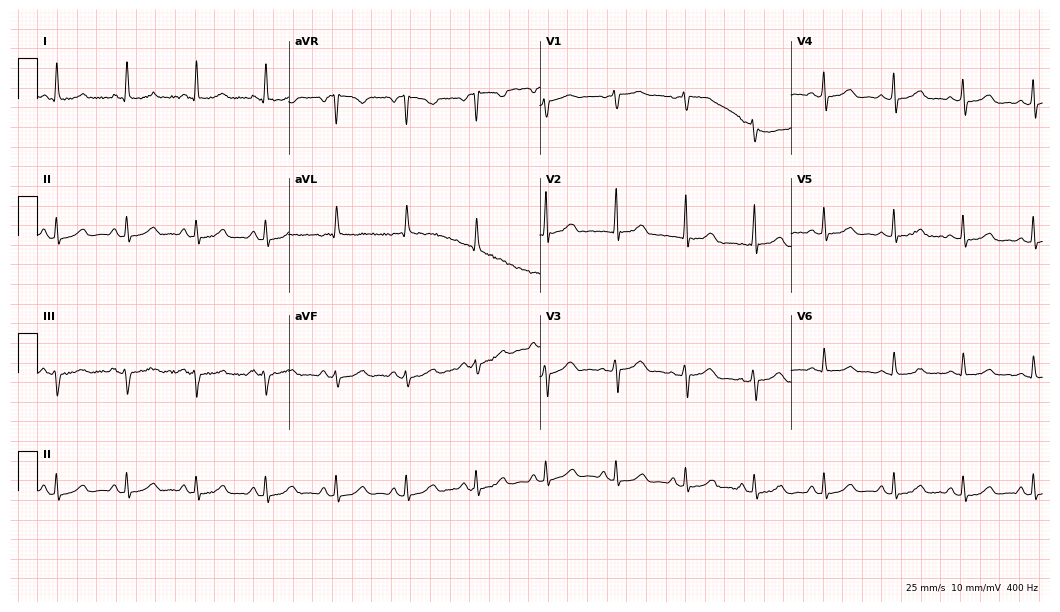
Standard 12-lead ECG recorded from a woman, 85 years old (10.2-second recording at 400 Hz). Read as a normal ECG.